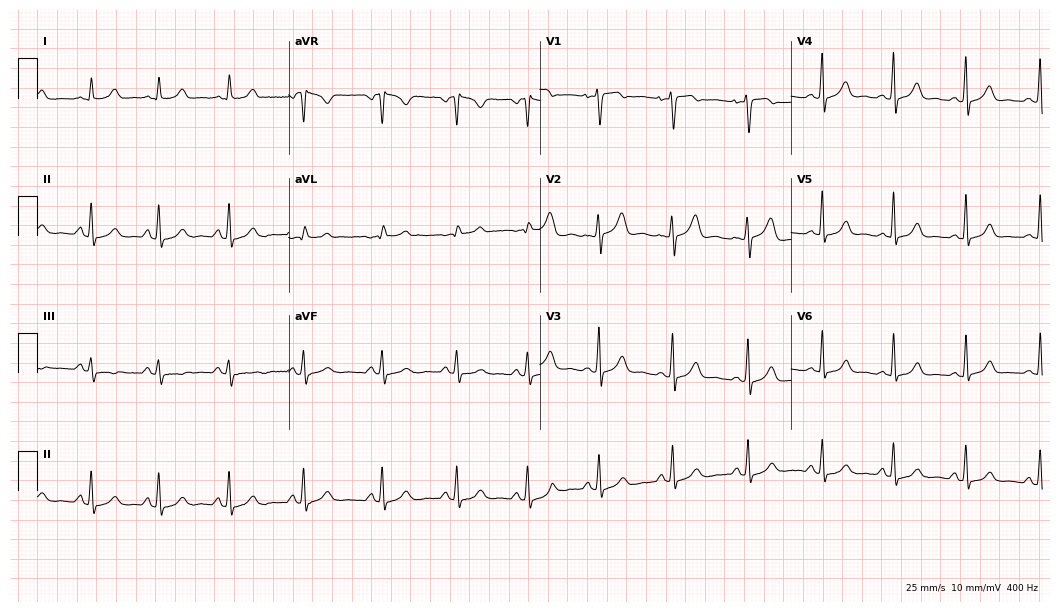
Standard 12-lead ECG recorded from a 27-year-old female patient (10.2-second recording at 400 Hz). Read as a normal ECG.